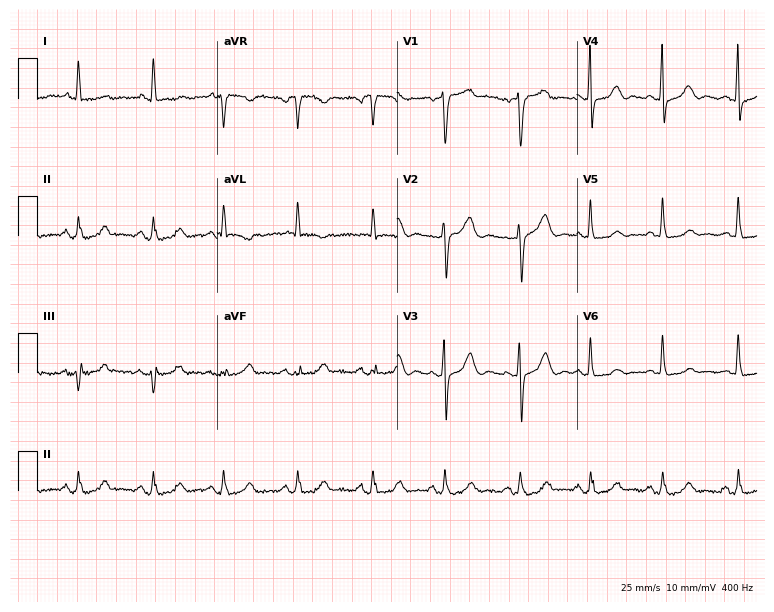
Resting 12-lead electrocardiogram. Patient: a female, 80 years old. None of these six findings is recorded: first-degree AV block, right bundle branch block, left bundle branch block, sinus bradycardia, atrial fibrillation, sinus tachycardia. Only these six findings were labelled.